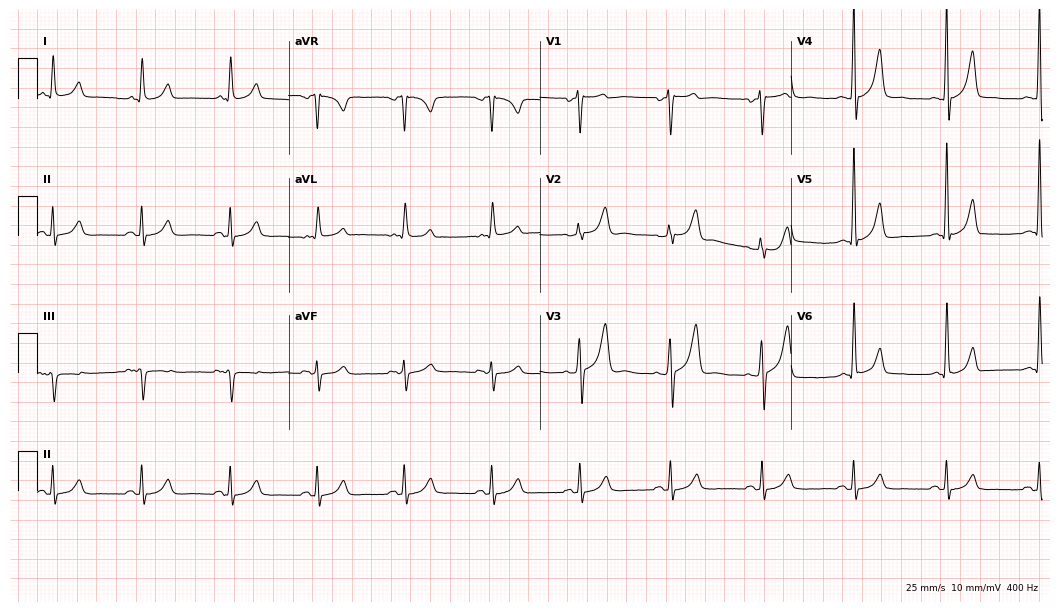
12-lead ECG (10.2-second recording at 400 Hz) from a male patient, 50 years old. Labelled as a normal ECG.